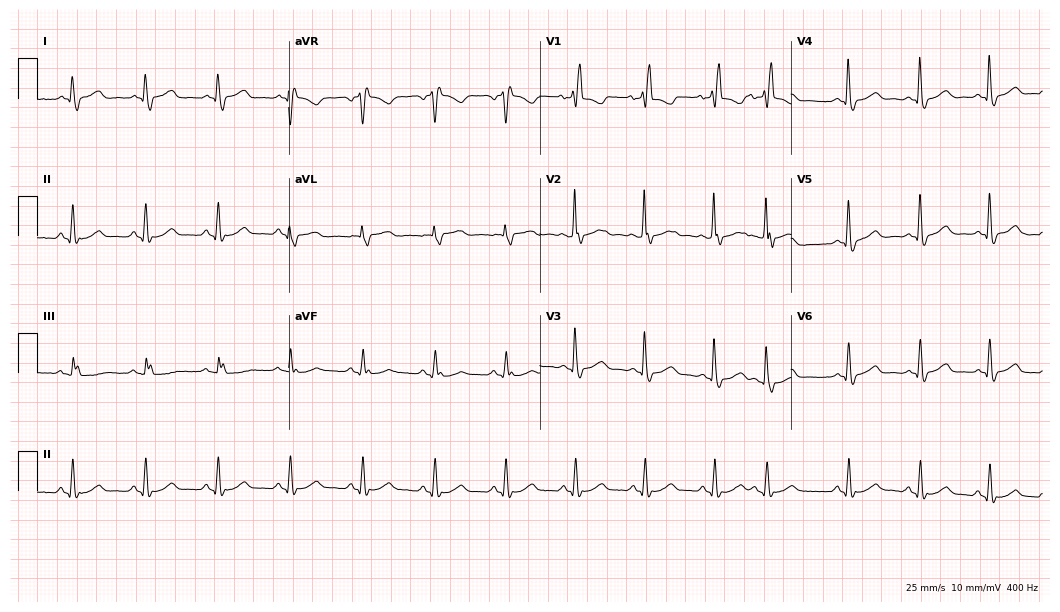
ECG — a 77-year-old male patient. Screened for six findings — first-degree AV block, right bundle branch block (RBBB), left bundle branch block (LBBB), sinus bradycardia, atrial fibrillation (AF), sinus tachycardia — none is recorded.